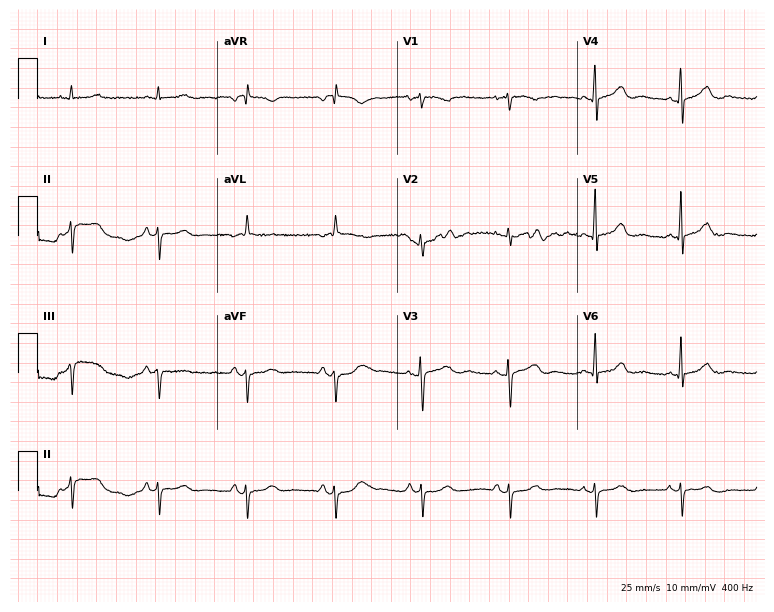
Standard 12-lead ECG recorded from a 77-year-old female patient. None of these six findings is recorded: first-degree AV block, right bundle branch block, left bundle branch block, sinus bradycardia, atrial fibrillation, sinus tachycardia.